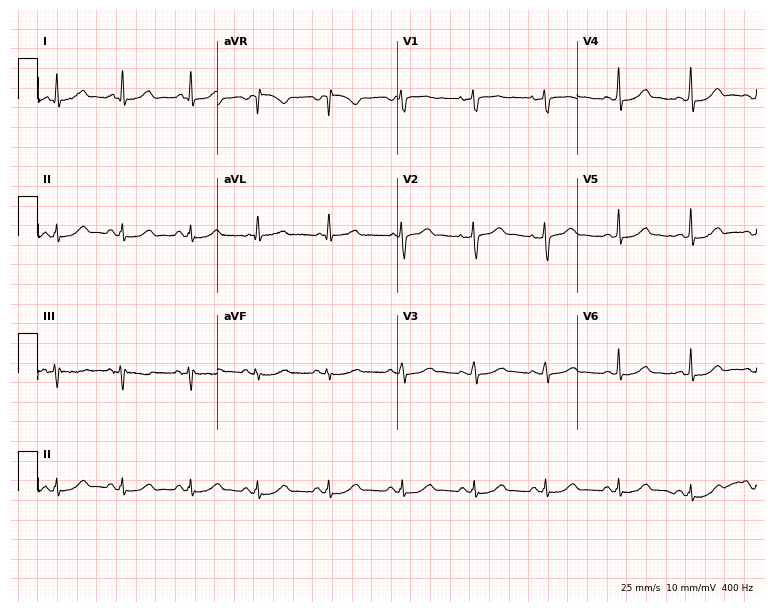
Resting 12-lead electrocardiogram (7.3-second recording at 400 Hz). Patient: a female, 54 years old. Read as a normal ECG.